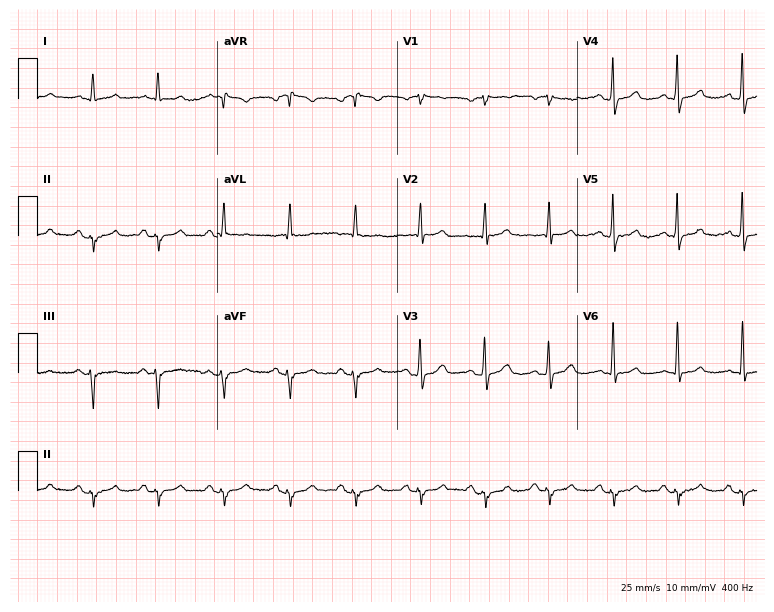
ECG — a male patient, 71 years old. Screened for six findings — first-degree AV block, right bundle branch block, left bundle branch block, sinus bradycardia, atrial fibrillation, sinus tachycardia — none is recorded.